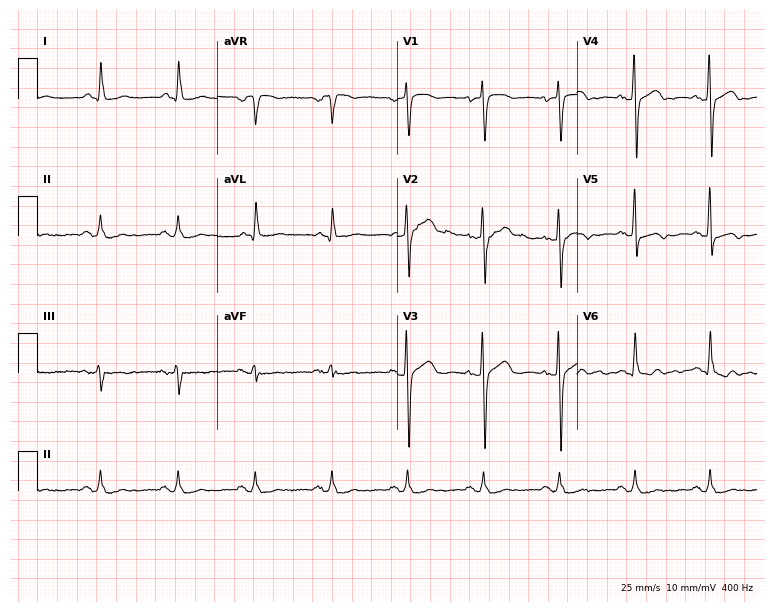
12-lead ECG (7.3-second recording at 400 Hz) from a 68-year-old female. Screened for six findings — first-degree AV block, right bundle branch block, left bundle branch block, sinus bradycardia, atrial fibrillation, sinus tachycardia — none is recorded. Only these six findings were labelled.